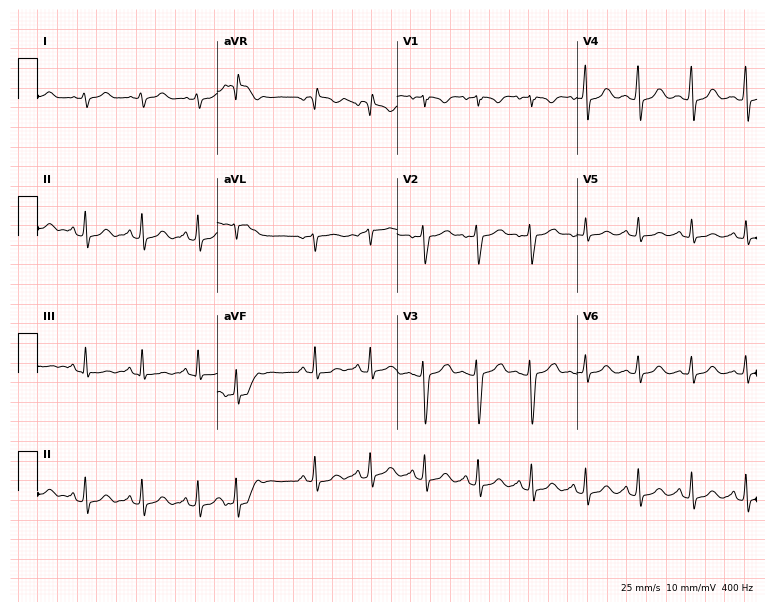
Resting 12-lead electrocardiogram. Patient: a 23-year-old female. The tracing shows sinus tachycardia (a sinus rate of 100 beats per minute or more).